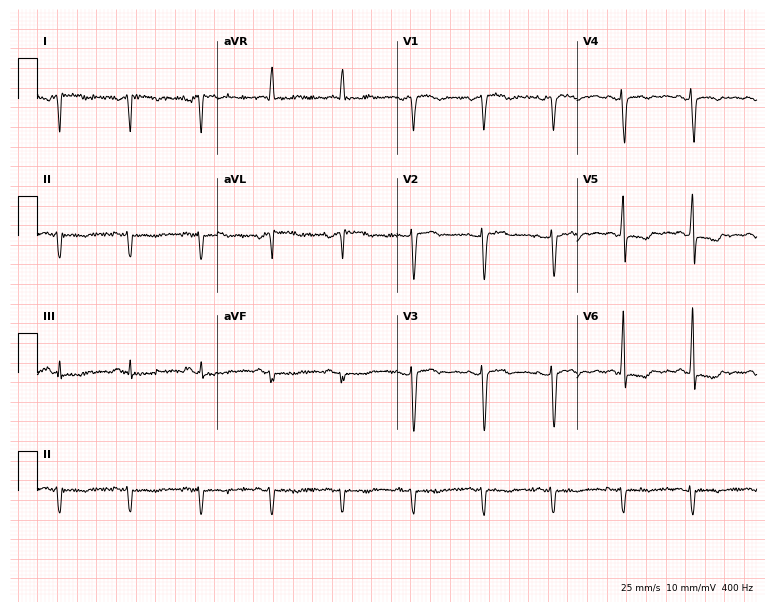
ECG (7.3-second recording at 400 Hz) — a 53-year-old female. Screened for six findings — first-degree AV block, right bundle branch block, left bundle branch block, sinus bradycardia, atrial fibrillation, sinus tachycardia — none is recorded. Only these six findings were labelled.